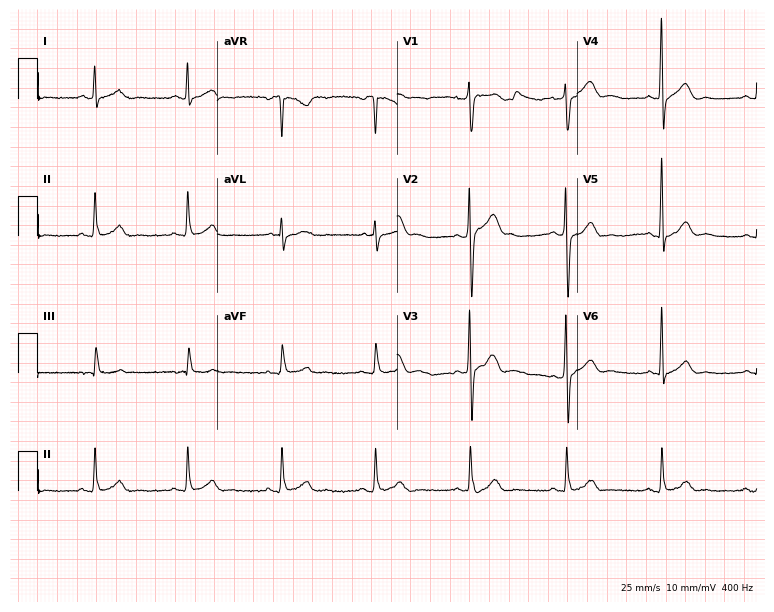
12-lead ECG from a man, 49 years old. Recorded interpretation: within normal limits.